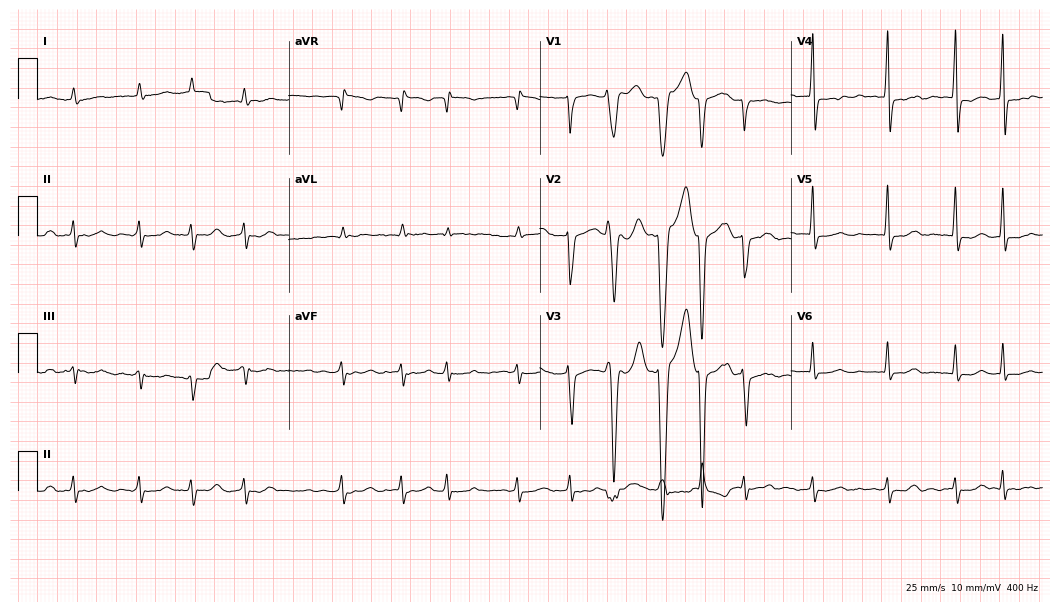
ECG (10.2-second recording at 400 Hz) — an 85-year-old man. Findings include atrial fibrillation (AF).